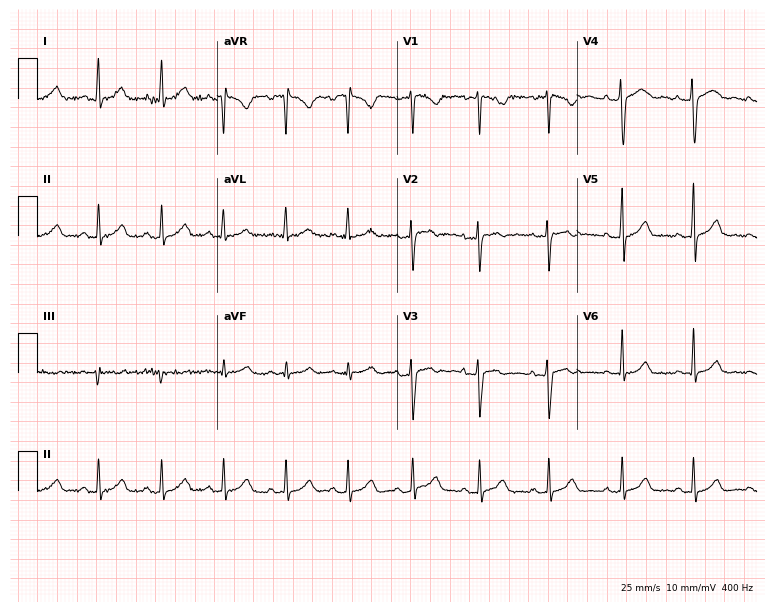
Electrocardiogram, a female, 24 years old. Overall reading on record: normal ECG.